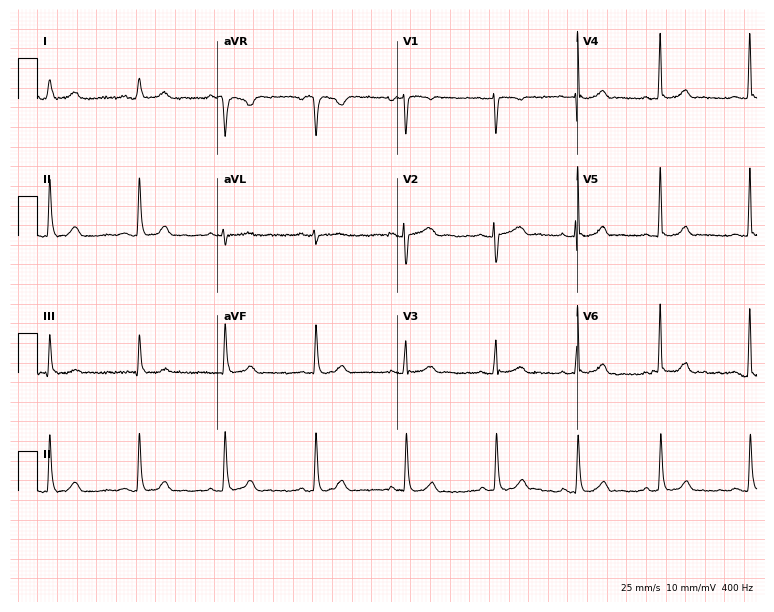
ECG (7.3-second recording at 400 Hz) — a woman, 18 years old. Labelled as a normal ECG.